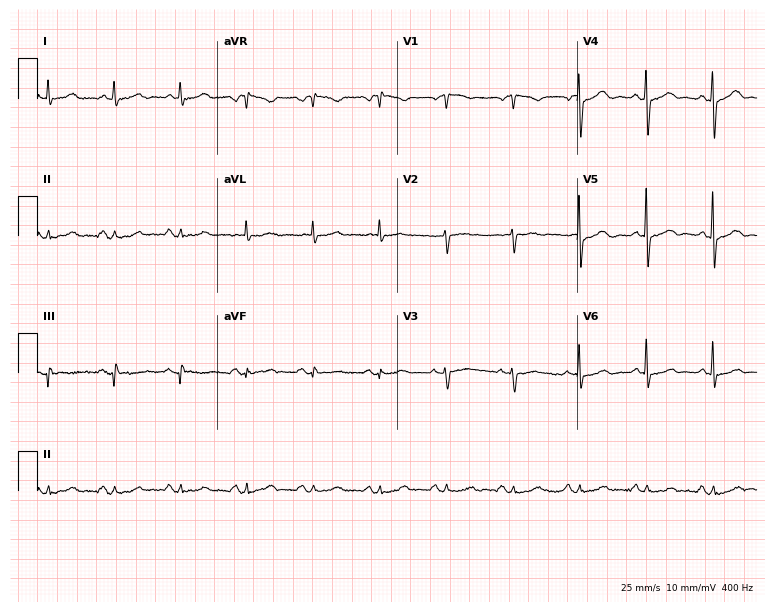
12-lead ECG from a female patient, 78 years old (7.3-second recording at 400 Hz). No first-degree AV block, right bundle branch block (RBBB), left bundle branch block (LBBB), sinus bradycardia, atrial fibrillation (AF) or sinus tachycardia recorded for this tracing.